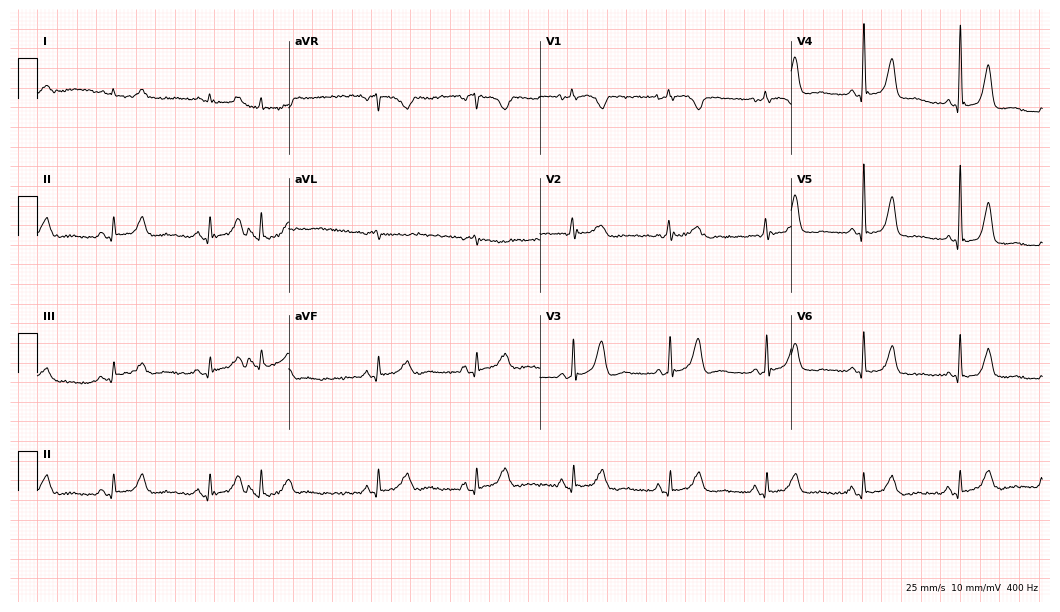
Electrocardiogram (10.2-second recording at 400 Hz), a woman, 79 years old. Of the six screened findings (first-degree AV block, right bundle branch block, left bundle branch block, sinus bradycardia, atrial fibrillation, sinus tachycardia), none is recorded. Findings outside these six are not listed.